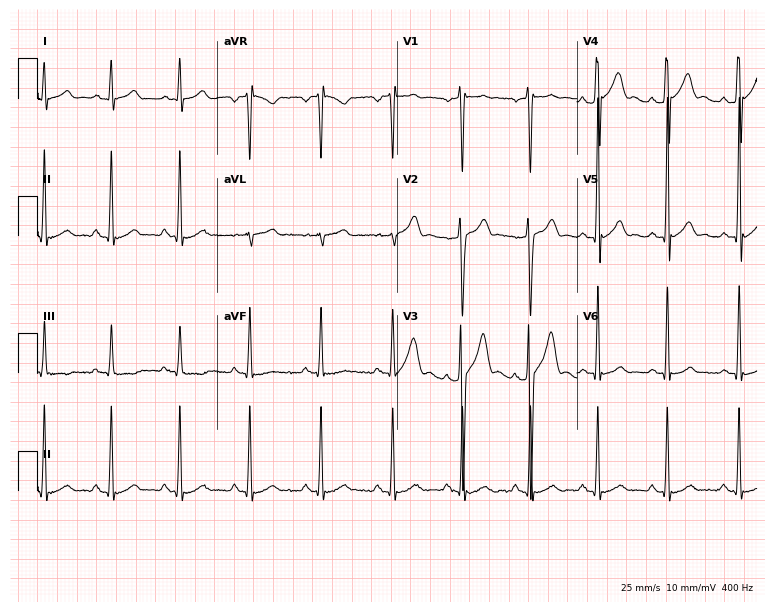
ECG — a man, 18 years old. Labelled as a normal ECG.